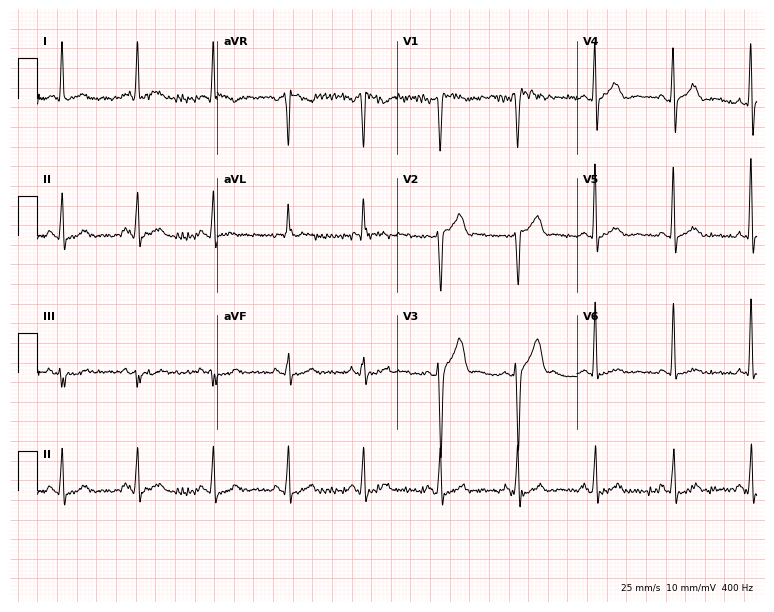
Standard 12-lead ECG recorded from a 48-year-old male patient (7.3-second recording at 400 Hz). Read as a normal ECG.